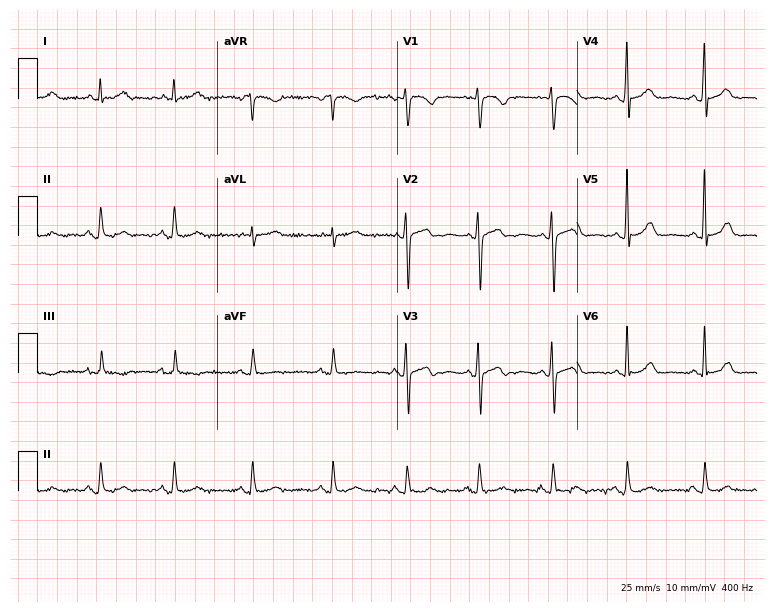
Electrocardiogram (7.3-second recording at 400 Hz), a 31-year-old female. Overall reading on record: normal ECG.